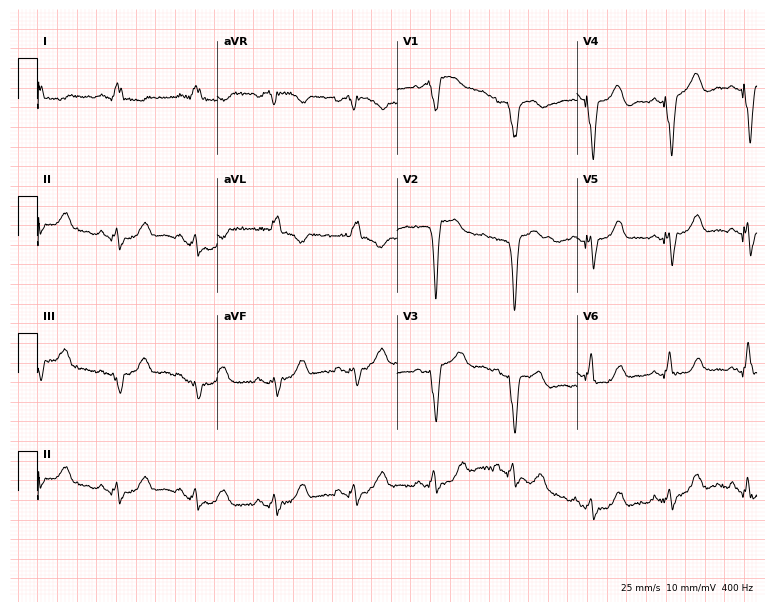
12-lead ECG from an 84-year-old woman (7.3-second recording at 400 Hz). No first-degree AV block, right bundle branch block, left bundle branch block, sinus bradycardia, atrial fibrillation or sinus tachycardia recorded for this tracing.